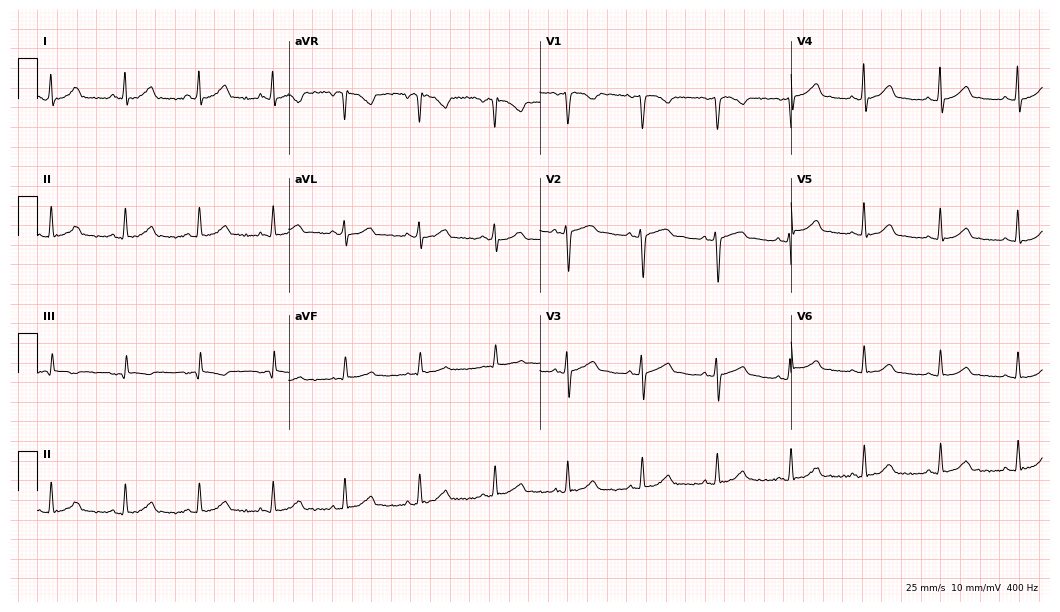
ECG — a female, 34 years old. Labelled as a normal ECG.